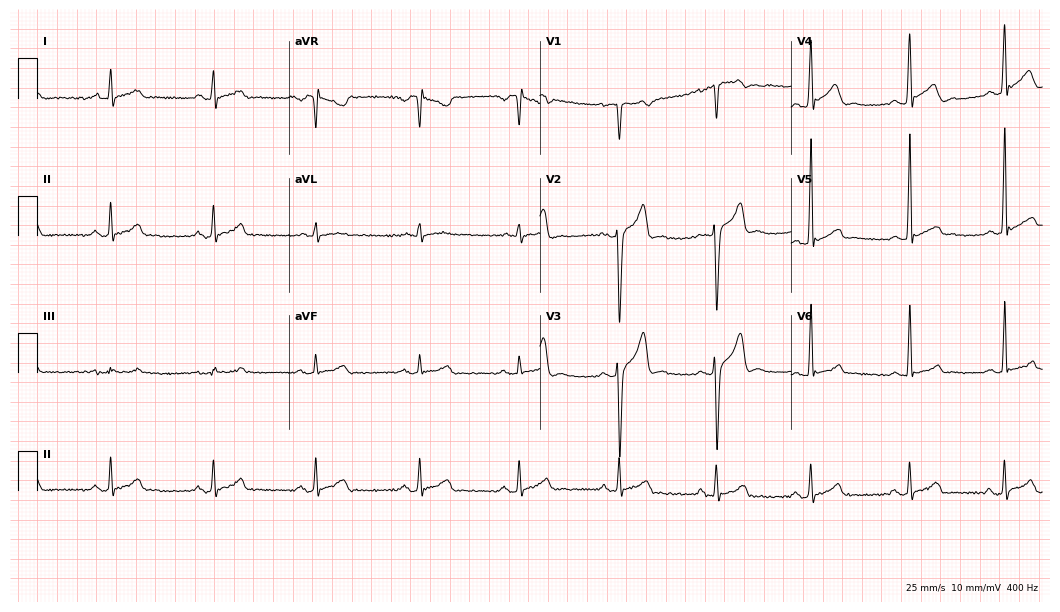
12-lead ECG from a 19-year-old man. No first-degree AV block, right bundle branch block (RBBB), left bundle branch block (LBBB), sinus bradycardia, atrial fibrillation (AF) or sinus tachycardia recorded for this tracing.